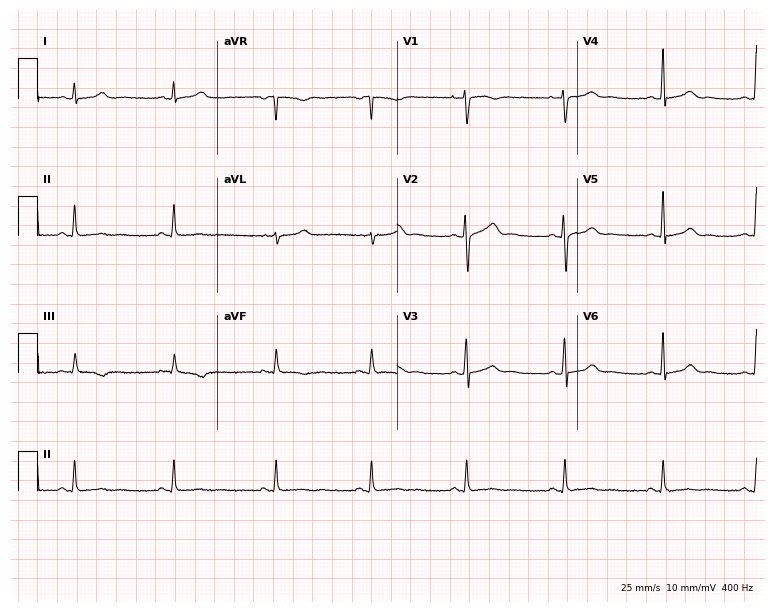
Resting 12-lead electrocardiogram. Patient: a 31-year-old woman. None of these six findings is recorded: first-degree AV block, right bundle branch block, left bundle branch block, sinus bradycardia, atrial fibrillation, sinus tachycardia.